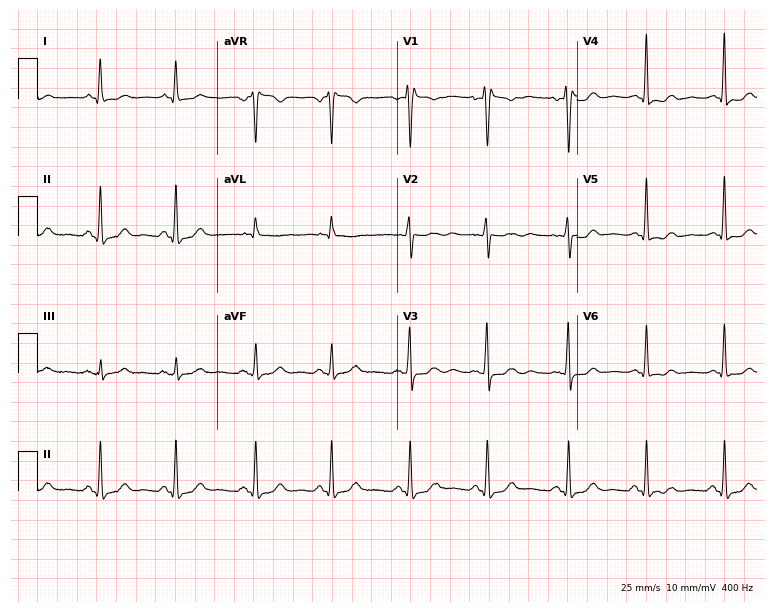
12-lead ECG from a woman, 65 years old. Labelled as a normal ECG.